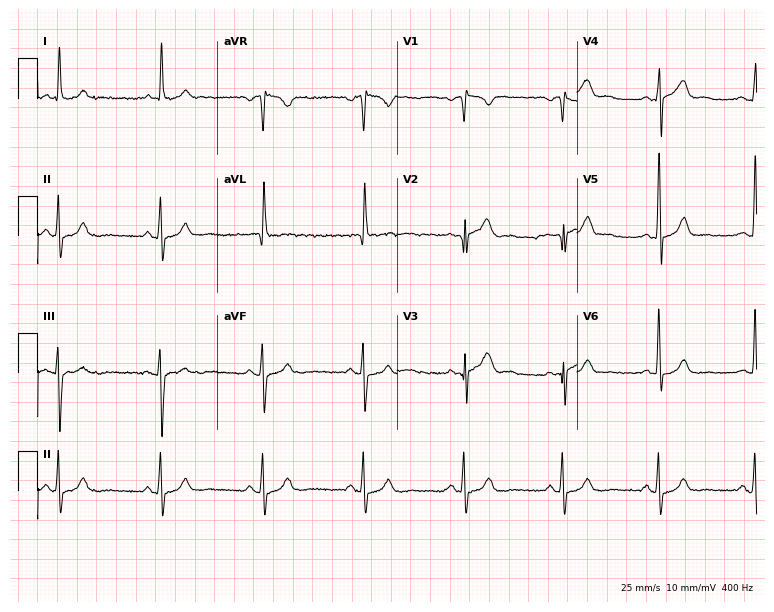
Resting 12-lead electrocardiogram. Patient: a 61-year-old man. Read as a normal ECG.